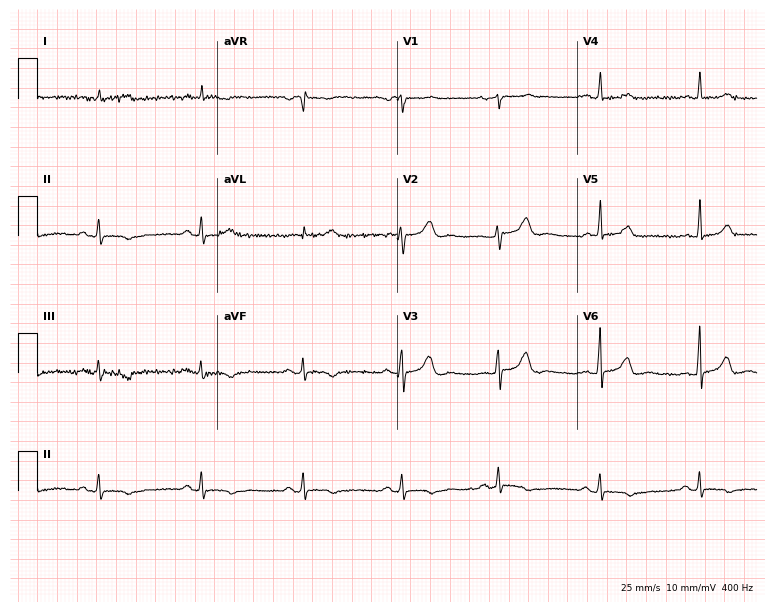
12-lead ECG from a 72-year-old female. No first-degree AV block, right bundle branch block (RBBB), left bundle branch block (LBBB), sinus bradycardia, atrial fibrillation (AF) or sinus tachycardia recorded for this tracing.